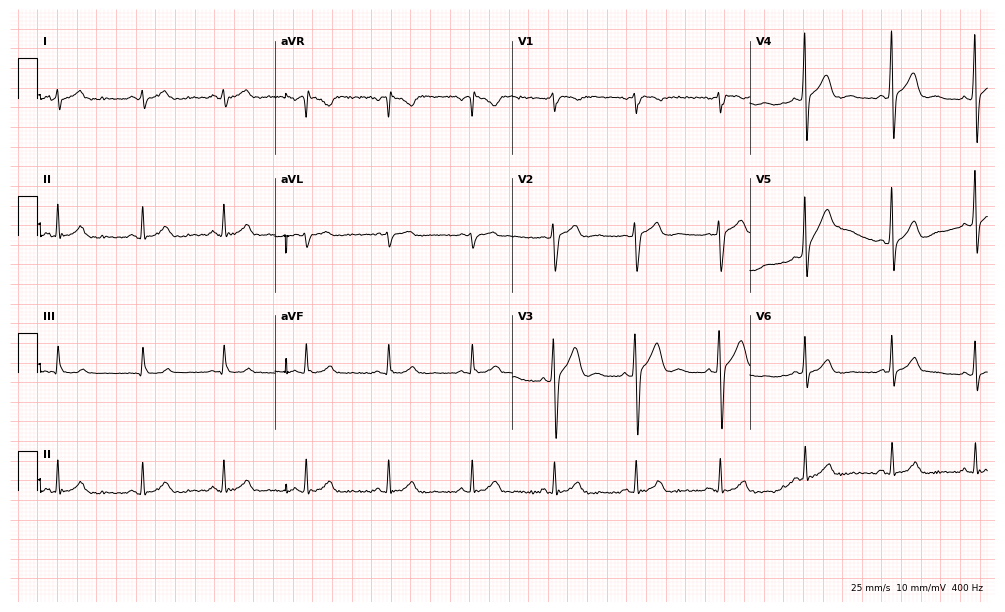
Electrocardiogram, a man, 51 years old. Of the six screened findings (first-degree AV block, right bundle branch block (RBBB), left bundle branch block (LBBB), sinus bradycardia, atrial fibrillation (AF), sinus tachycardia), none is recorded.